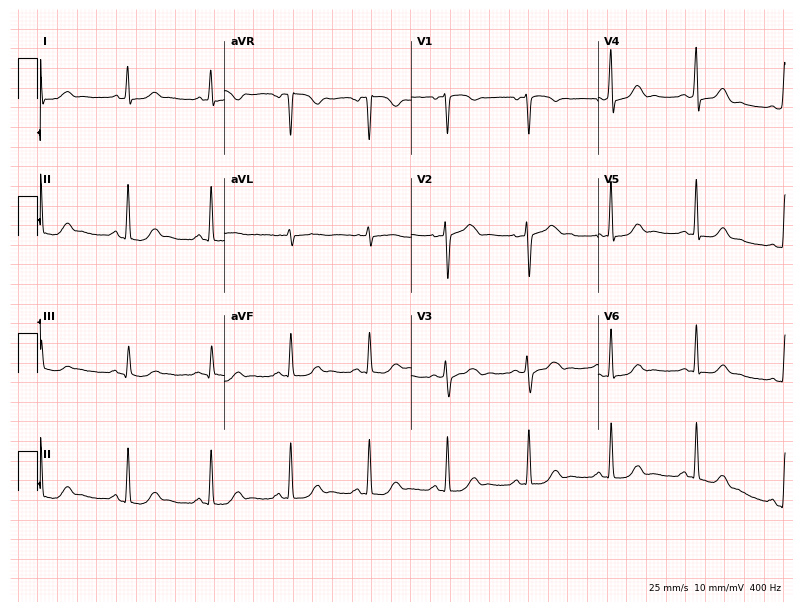
ECG (7.6-second recording at 400 Hz) — a female, 39 years old. Screened for six findings — first-degree AV block, right bundle branch block, left bundle branch block, sinus bradycardia, atrial fibrillation, sinus tachycardia — none is recorded. Other findings, if any, are not listed.